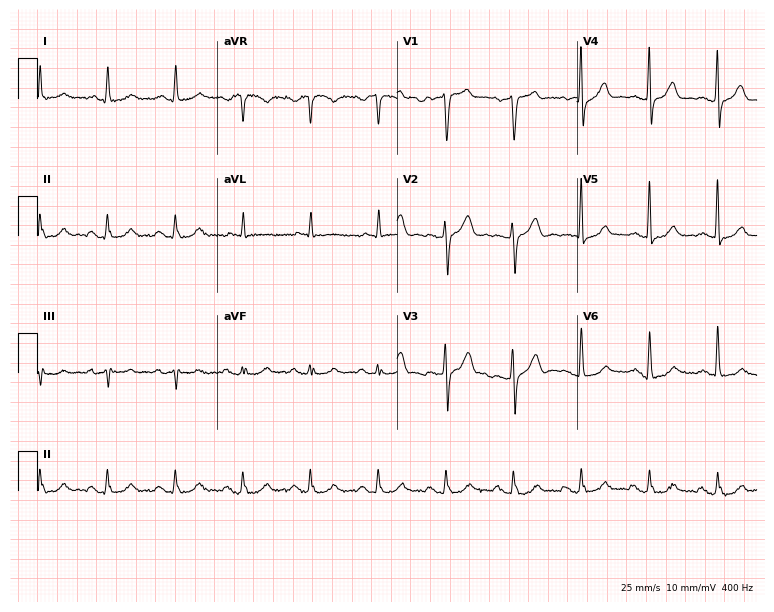
12-lead ECG (7.3-second recording at 400 Hz) from a 75-year-old male. Screened for six findings — first-degree AV block, right bundle branch block (RBBB), left bundle branch block (LBBB), sinus bradycardia, atrial fibrillation (AF), sinus tachycardia — none is recorded.